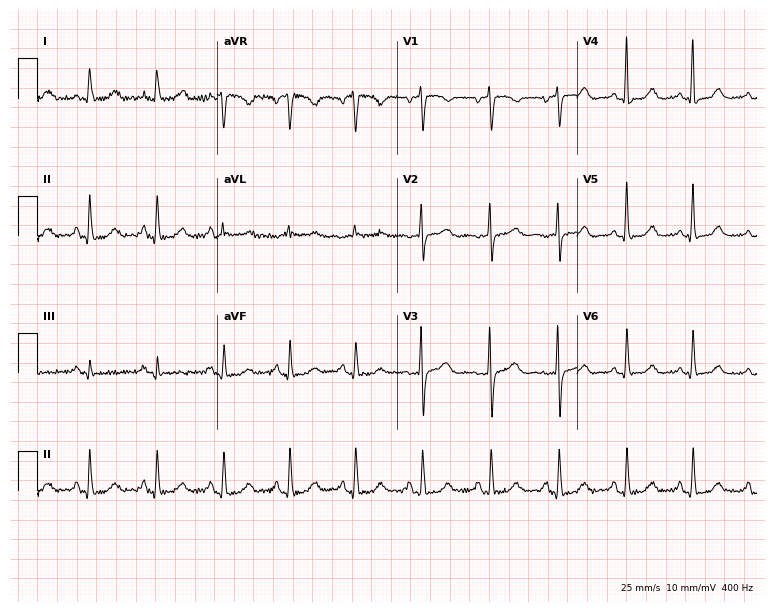
12-lead ECG from an 82-year-old woman. Labelled as a normal ECG.